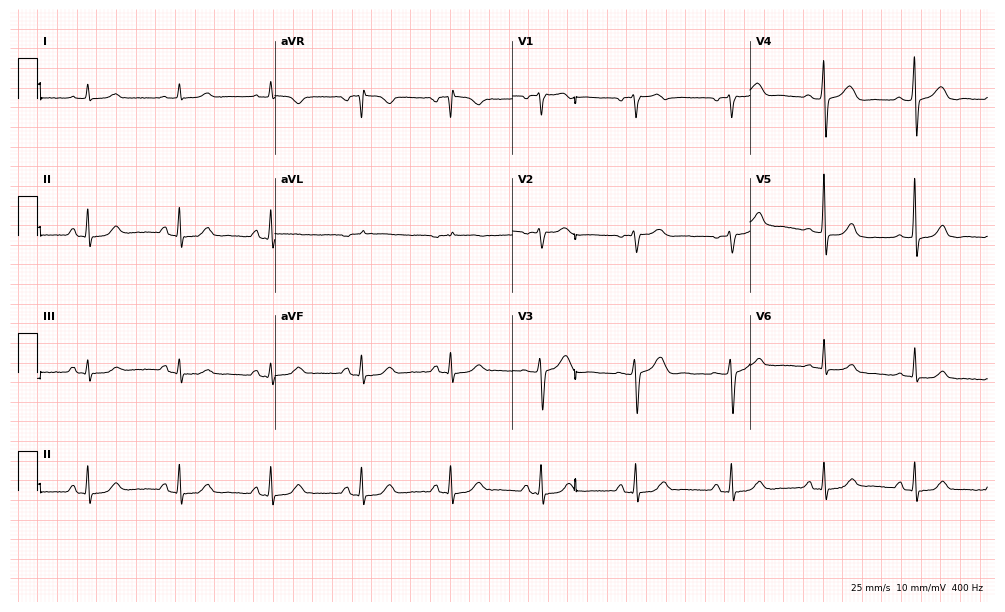
Electrocardiogram, a woman, 75 years old. Overall reading on record: normal ECG.